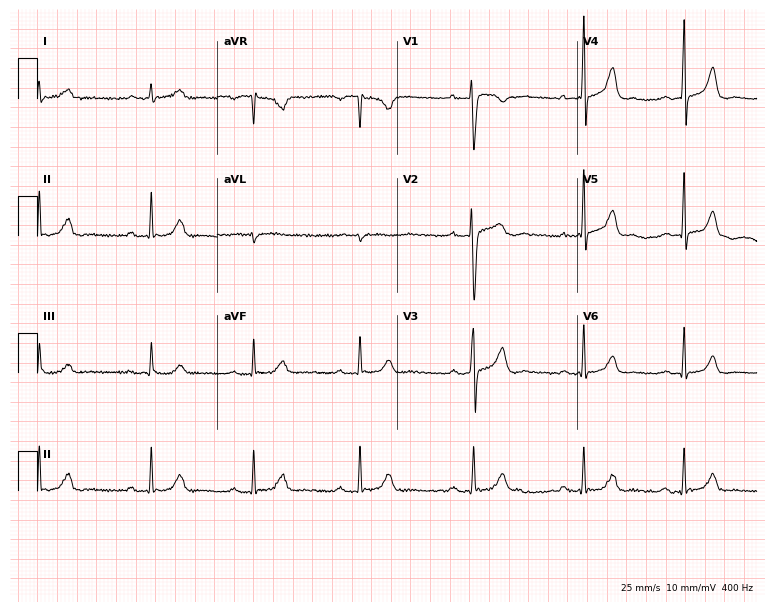
Standard 12-lead ECG recorded from a man, 33 years old (7.3-second recording at 400 Hz). Read as a normal ECG.